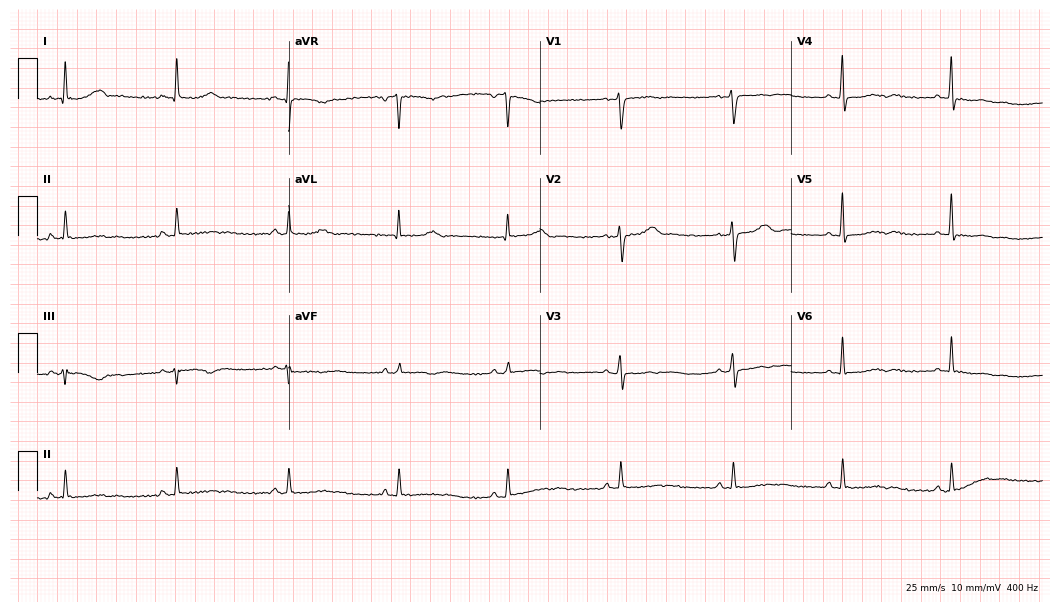
12-lead ECG from a 60-year-old female patient. No first-degree AV block, right bundle branch block, left bundle branch block, sinus bradycardia, atrial fibrillation or sinus tachycardia recorded for this tracing. Findings outside these six are not listed.